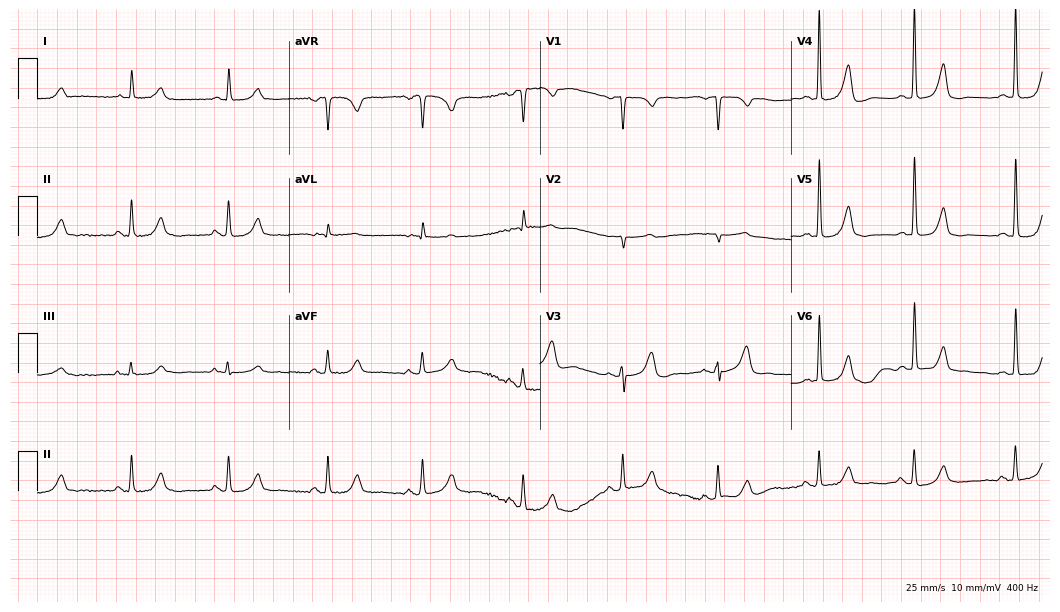
Standard 12-lead ECG recorded from an 80-year-old female. Read as a normal ECG.